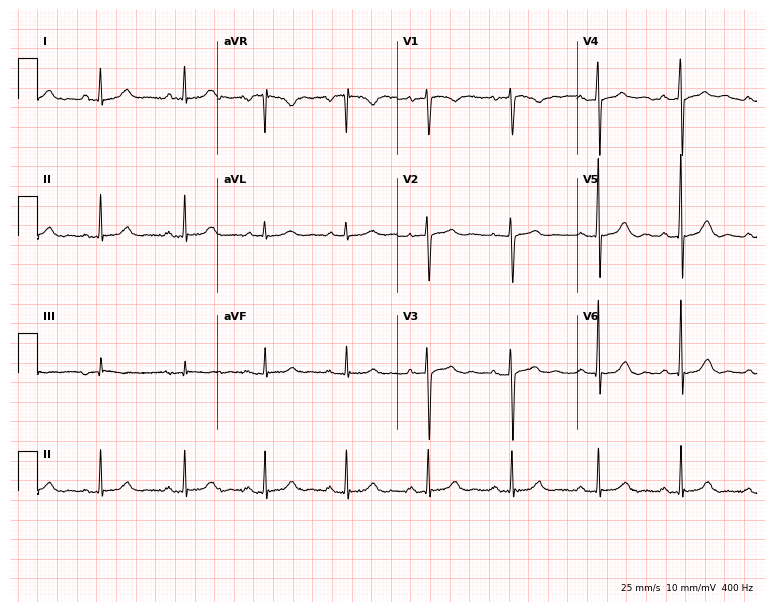
12-lead ECG from a 57-year-old female (7.3-second recording at 400 Hz). No first-degree AV block, right bundle branch block, left bundle branch block, sinus bradycardia, atrial fibrillation or sinus tachycardia recorded for this tracing.